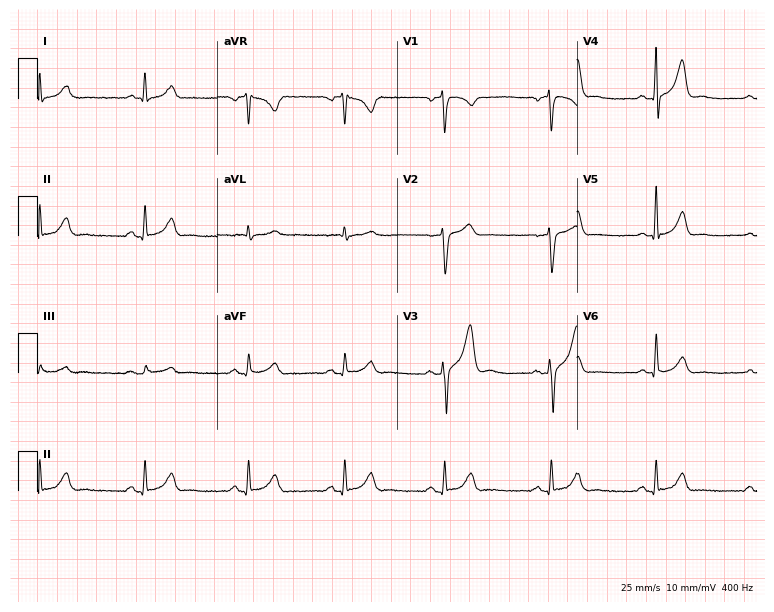
Standard 12-lead ECG recorded from a female, 37 years old (7.3-second recording at 400 Hz). None of these six findings is recorded: first-degree AV block, right bundle branch block, left bundle branch block, sinus bradycardia, atrial fibrillation, sinus tachycardia.